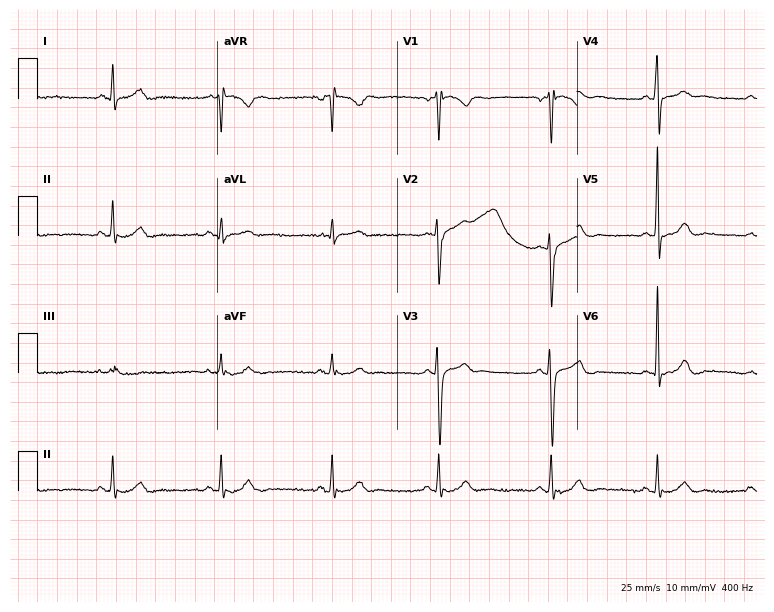
ECG — a 29-year-old man. Labelled as a normal ECG.